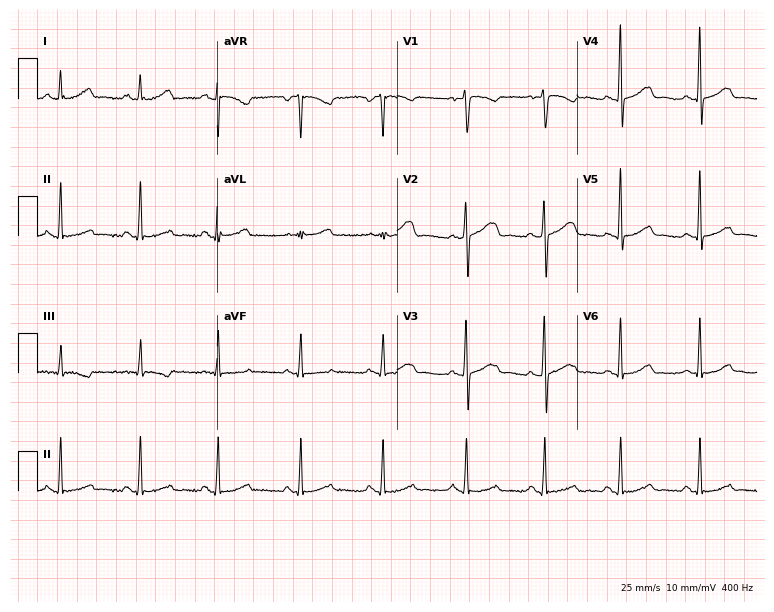
12-lead ECG (7.3-second recording at 400 Hz) from a 48-year-old female patient. Labelled as a normal ECG.